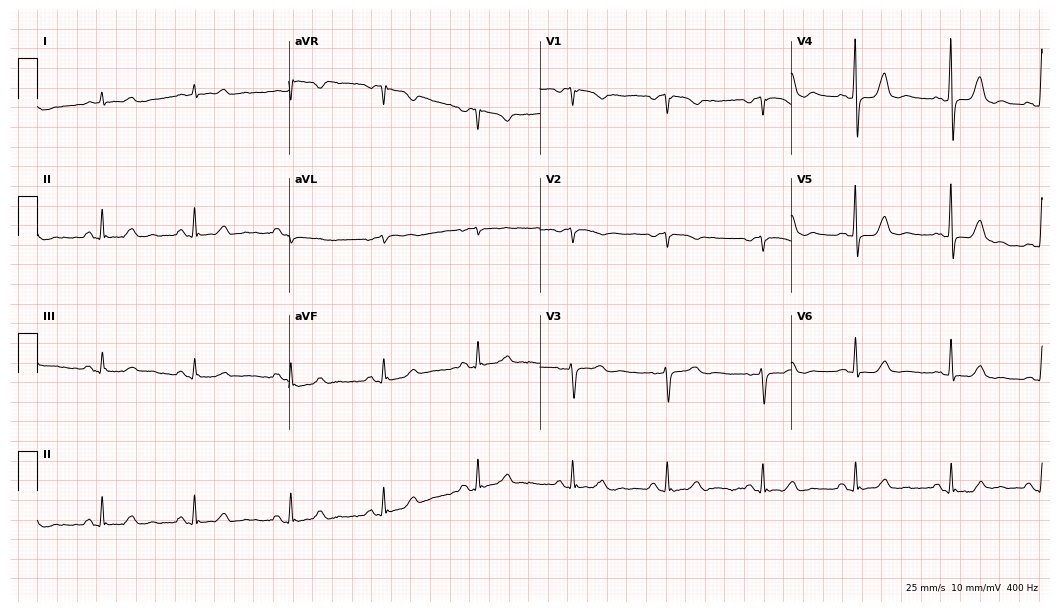
Electrocardiogram, a 72-year-old female. Overall reading on record: normal ECG.